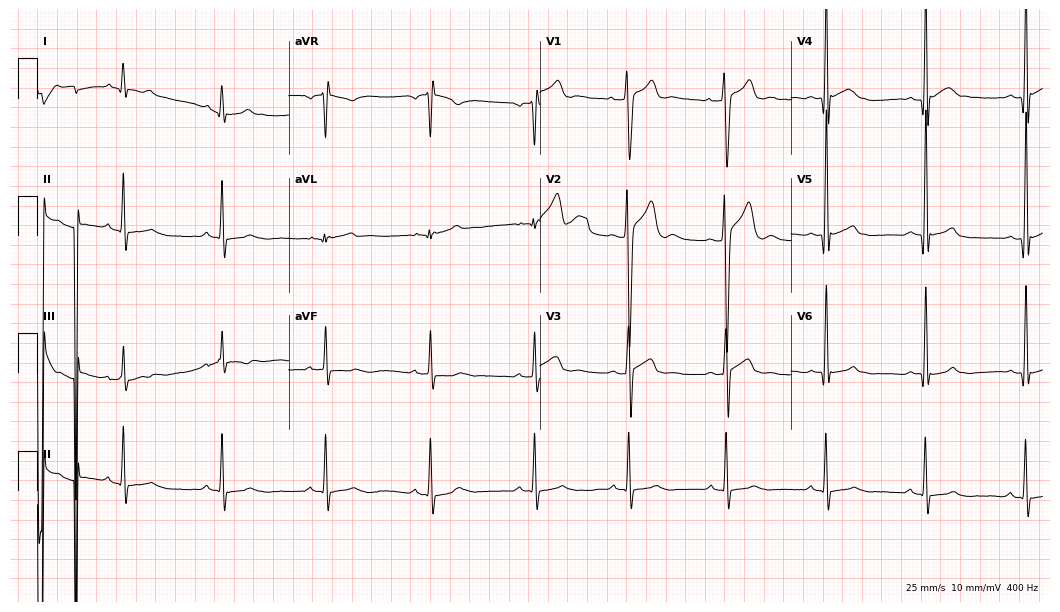
Electrocardiogram (10.2-second recording at 400 Hz), an 18-year-old male patient. Overall reading on record: normal ECG.